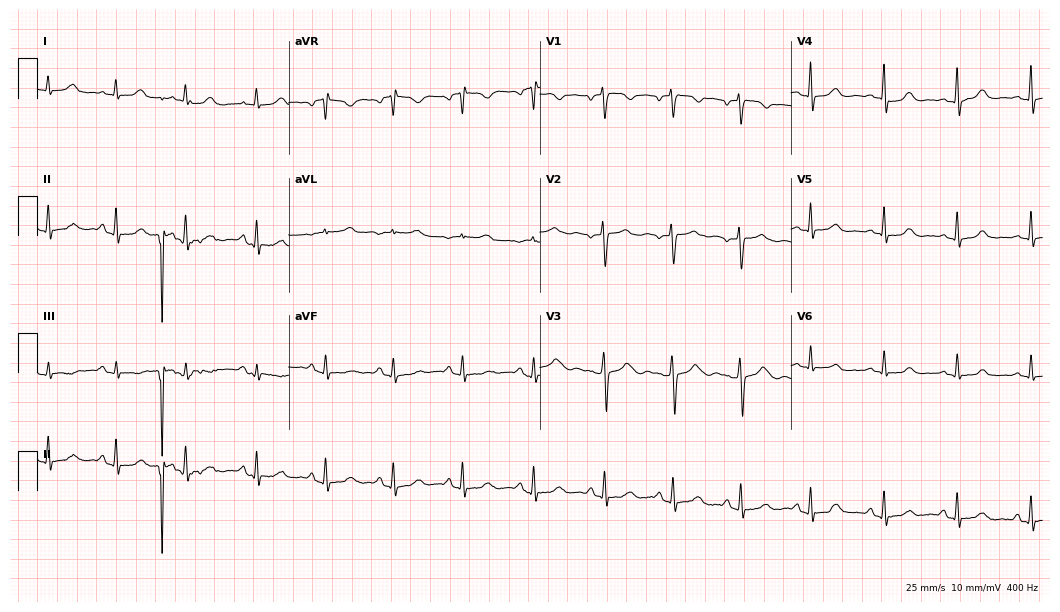
ECG (10.2-second recording at 400 Hz) — a 40-year-old female patient. Screened for six findings — first-degree AV block, right bundle branch block, left bundle branch block, sinus bradycardia, atrial fibrillation, sinus tachycardia — none is recorded.